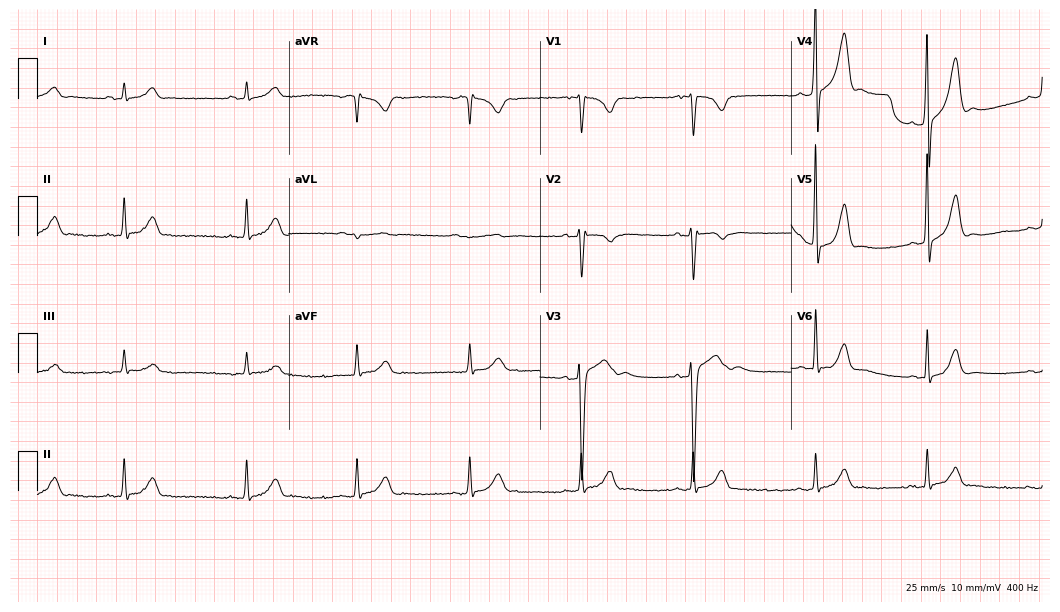
12-lead ECG from a male, 20 years old. Labelled as a normal ECG.